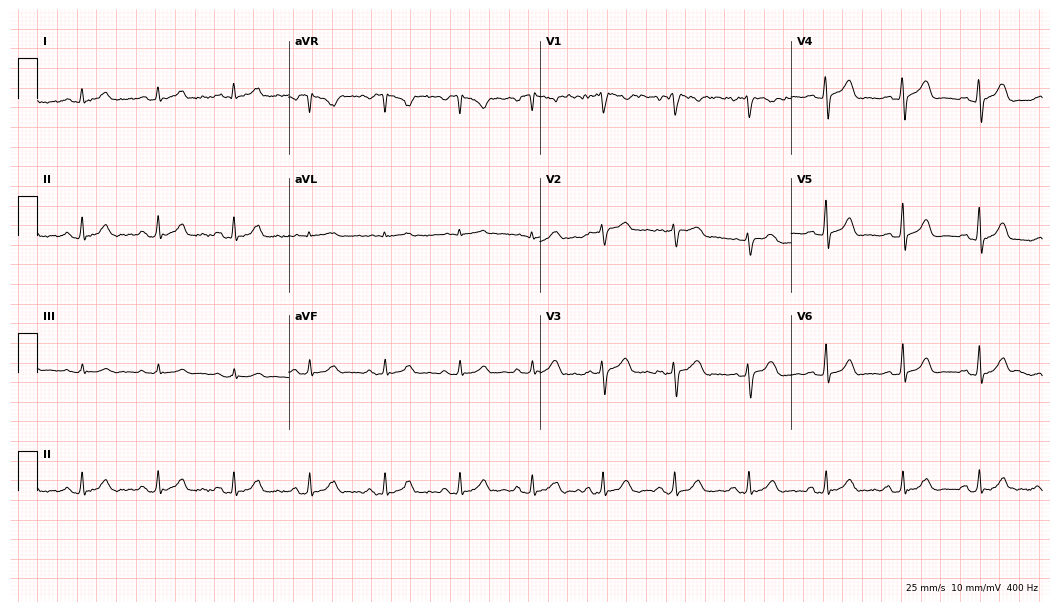
12-lead ECG from a female, 42 years old. Labelled as a normal ECG.